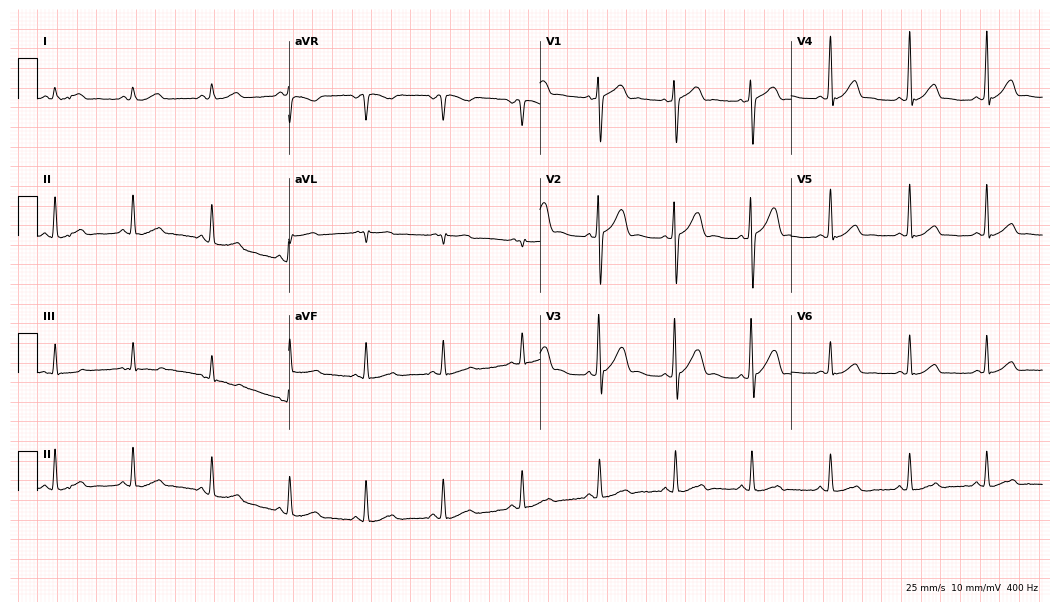
Resting 12-lead electrocardiogram (10.2-second recording at 400 Hz). Patient: a man, 39 years old. Read as a normal ECG.